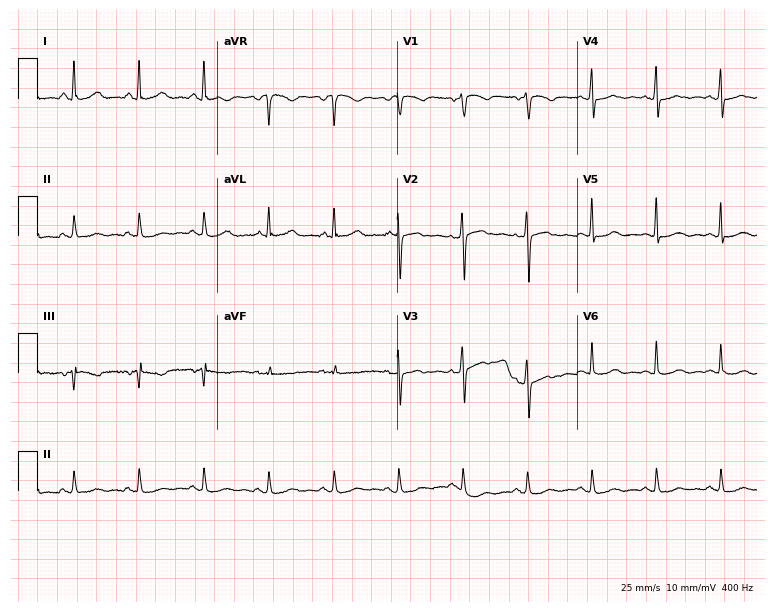
12-lead ECG (7.3-second recording at 400 Hz) from a 79-year-old woman. Screened for six findings — first-degree AV block, right bundle branch block (RBBB), left bundle branch block (LBBB), sinus bradycardia, atrial fibrillation (AF), sinus tachycardia — none is recorded.